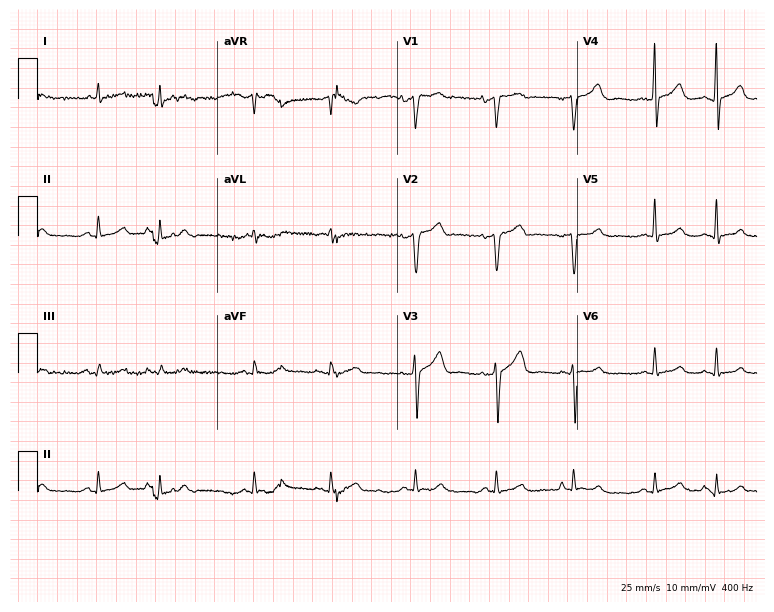
ECG (7.3-second recording at 400 Hz) — a man, 76 years old. Screened for six findings — first-degree AV block, right bundle branch block, left bundle branch block, sinus bradycardia, atrial fibrillation, sinus tachycardia — none is recorded.